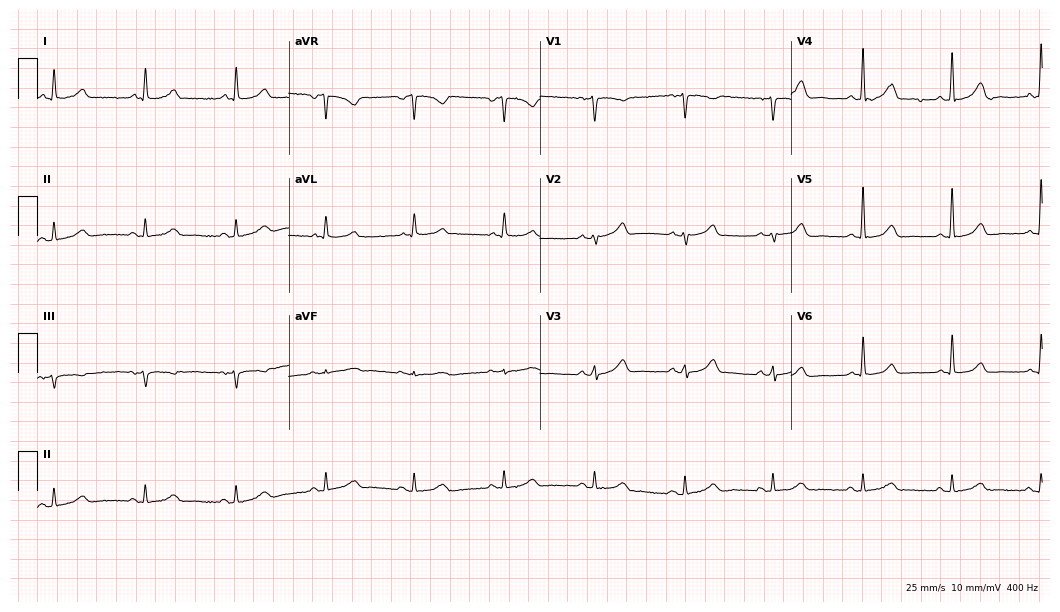
12-lead ECG from a female, 52 years old. Labelled as a normal ECG.